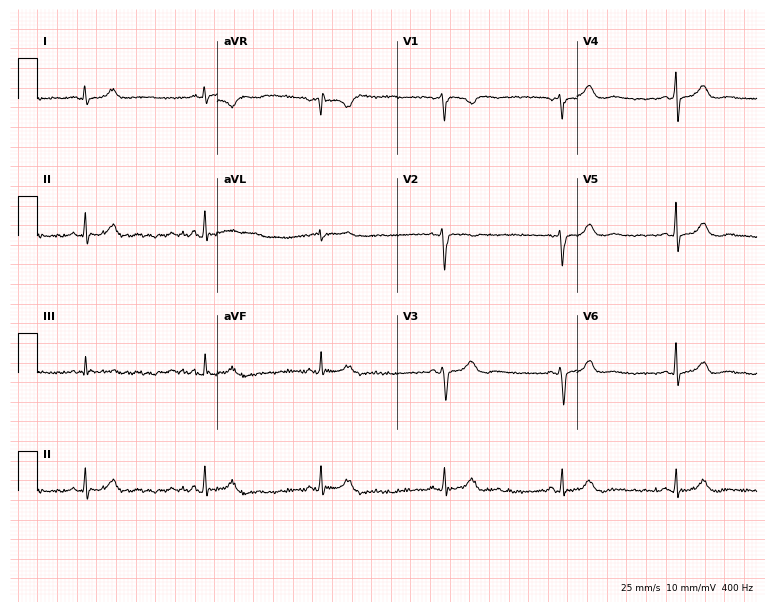
Resting 12-lead electrocardiogram (7.3-second recording at 400 Hz). Patient: a 27-year-old female. The tracing shows sinus bradycardia (a sinus rate of 50 beats per minute or less).